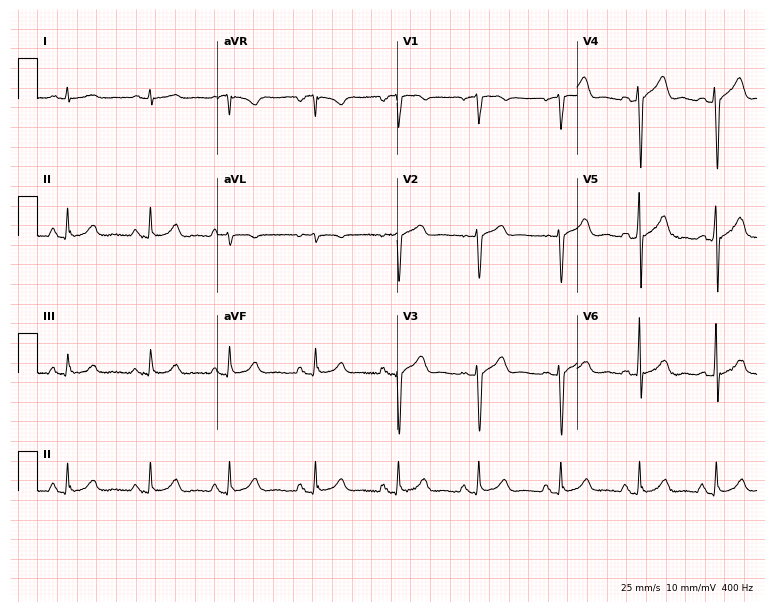
12-lead ECG from a man, 62 years old (7.3-second recording at 400 Hz). Recorded interpretation: within normal limits.